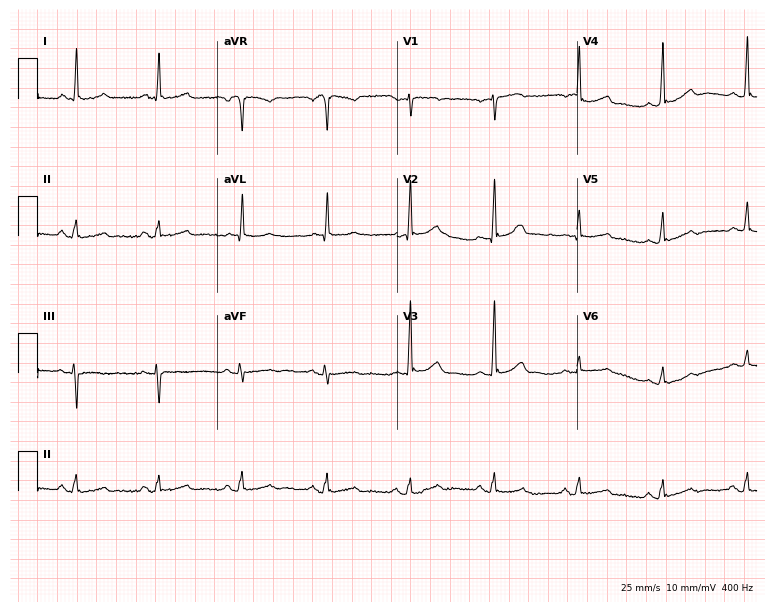
Resting 12-lead electrocardiogram. Patient: a 52-year-old female. Read as a normal ECG.